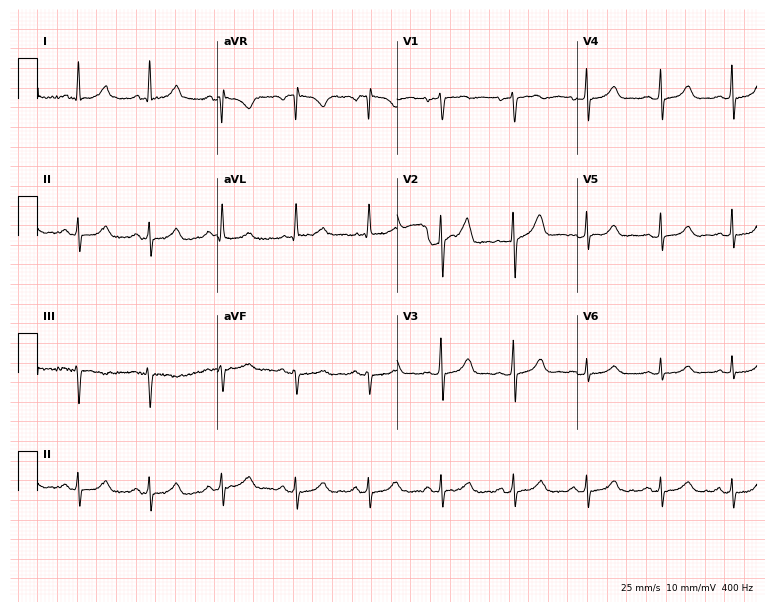
12-lead ECG (7.3-second recording at 400 Hz) from a female patient, 47 years old. Screened for six findings — first-degree AV block, right bundle branch block, left bundle branch block, sinus bradycardia, atrial fibrillation, sinus tachycardia — none is recorded.